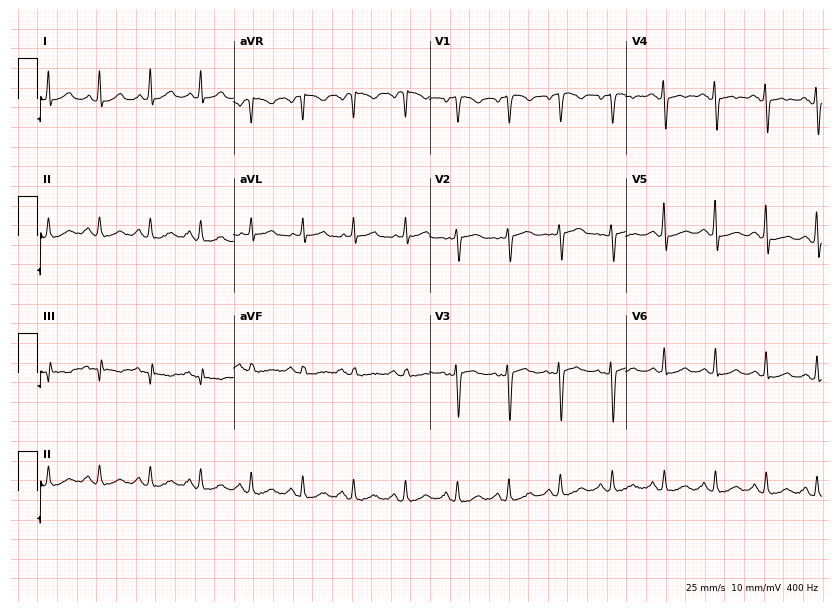
12-lead ECG from a female, 48 years old. Shows sinus tachycardia (a sinus rate of 100 beats per minute or more).